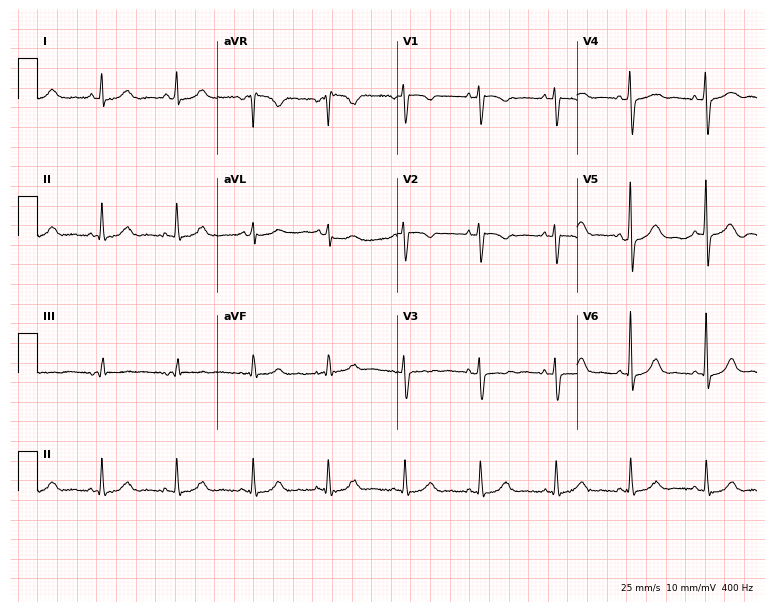
ECG — a 44-year-old female. Screened for six findings — first-degree AV block, right bundle branch block, left bundle branch block, sinus bradycardia, atrial fibrillation, sinus tachycardia — none is recorded. Other findings, if any, are not listed.